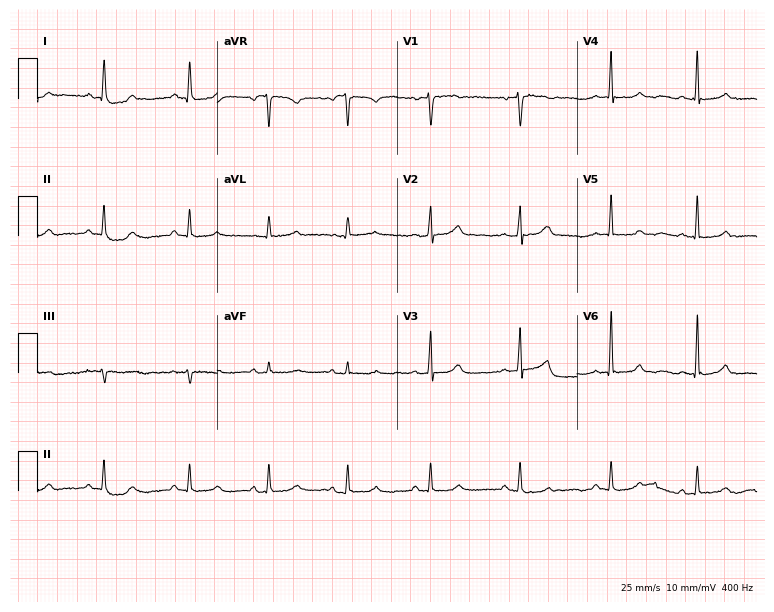
12-lead ECG (7.3-second recording at 400 Hz) from a woman, 43 years old. Labelled as a normal ECG.